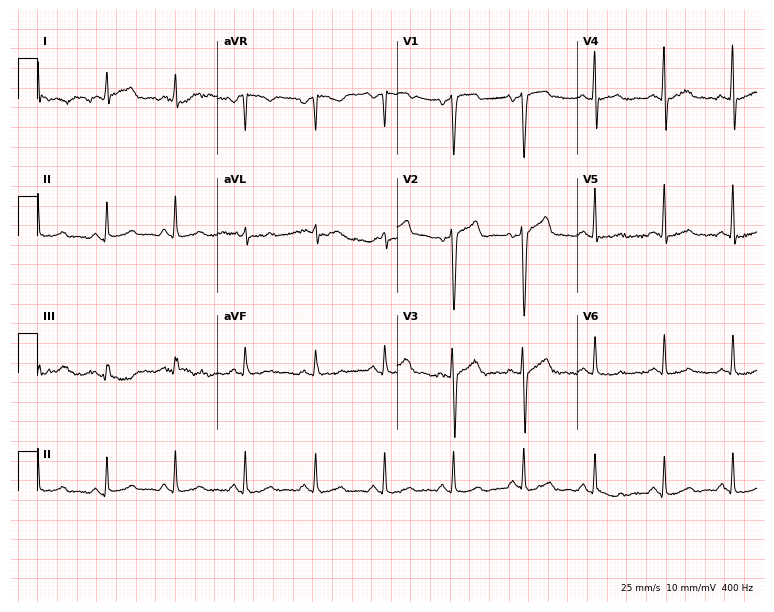
12-lead ECG from a 29-year-old man (7.3-second recording at 400 Hz). Recorded interpretation: within normal limits.